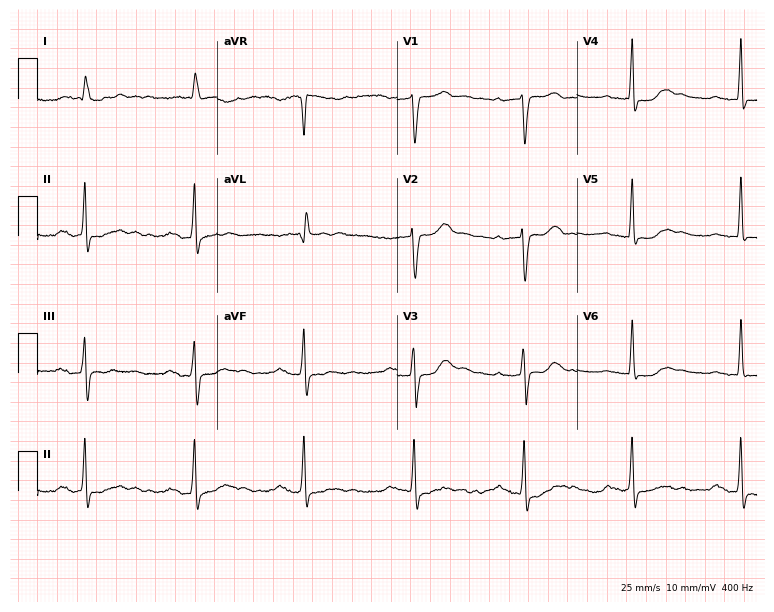
12-lead ECG (7.3-second recording at 400 Hz) from a female, 75 years old. Screened for six findings — first-degree AV block, right bundle branch block, left bundle branch block, sinus bradycardia, atrial fibrillation, sinus tachycardia — none is recorded.